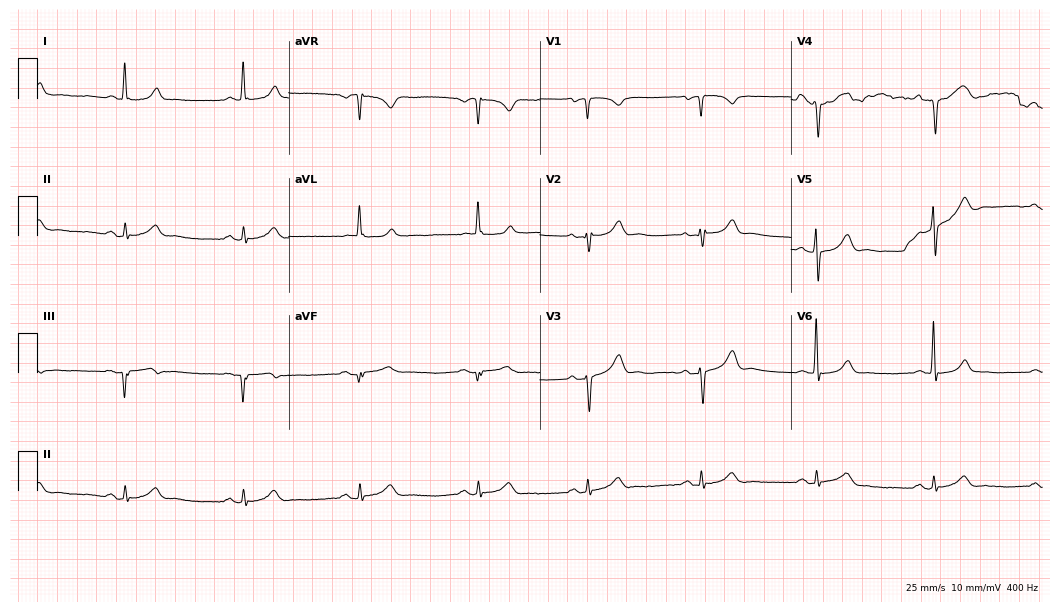
ECG (10.2-second recording at 400 Hz) — a 67-year-old man. Screened for six findings — first-degree AV block, right bundle branch block (RBBB), left bundle branch block (LBBB), sinus bradycardia, atrial fibrillation (AF), sinus tachycardia — none is recorded.